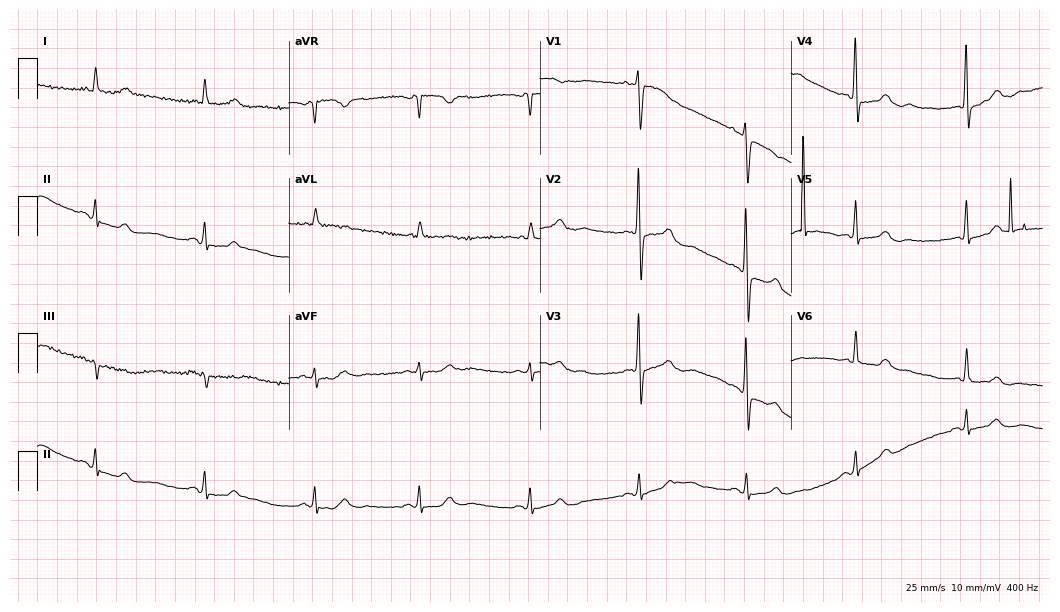
Electrocardiogram (10.2-second recording at 400 Hz), an 83-year-old woman. Overall reading on record: normal ECG.